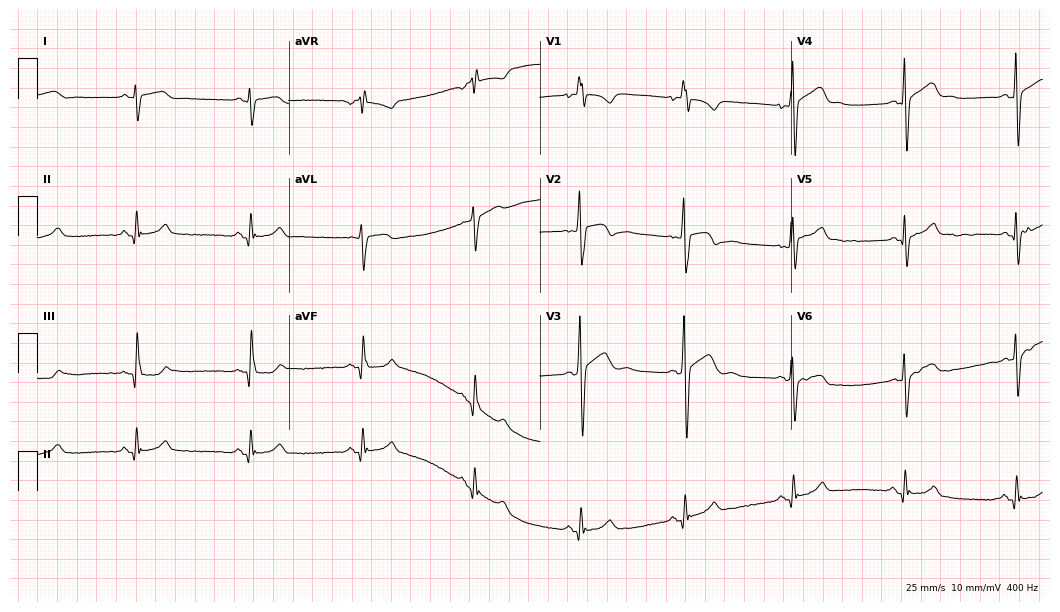
ECG (10.2-second recording at 400 Hz) — a male patient, 36 years old. Screened for six findings — first-degree AV block, right bundle branch block, left bundle branch block, sinus bradycardia, atrial fibrillation, sinus tachycardia — none is recorded. Only these six findings were labelled.